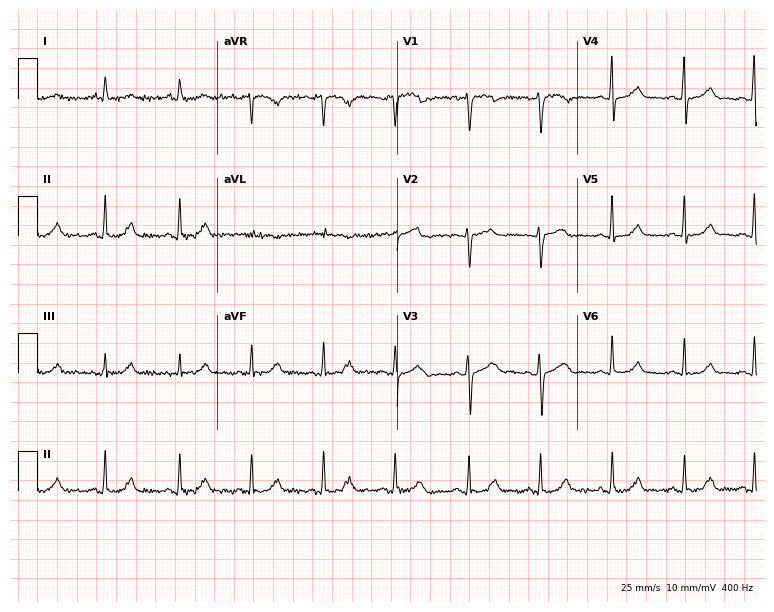
12-lead ECG (7.3-second recording at 400 Hz) from a 33-year-old woman. Screened for six findings — first-degree AV block, right bundle branch block (RBBB), left bundle branch block (LBBB), sinus bradycardia, atrial fibrillation (AF), sinus tachycardia — none is recorded. Other findings, if any, are not listed.